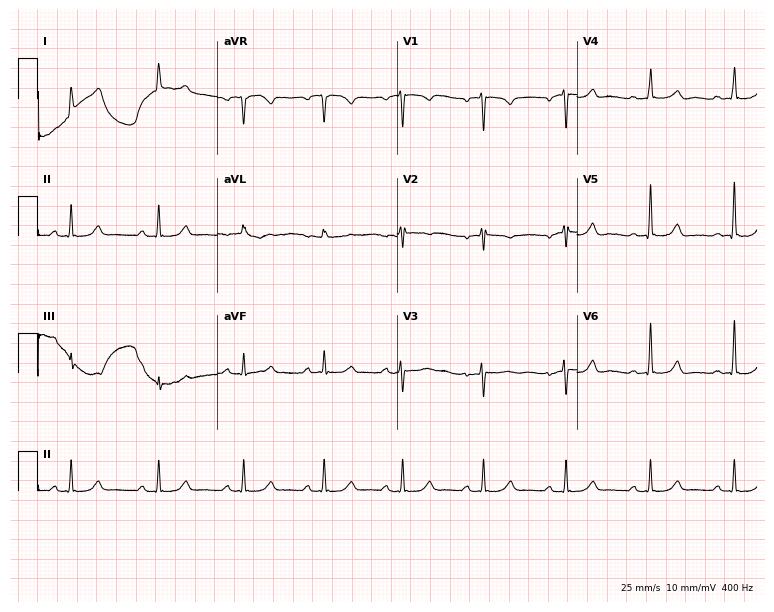
12-lead ECG (7.3-second recording at 400 Hz) from a woman, 36 years old. Labelled as a normal ECG.